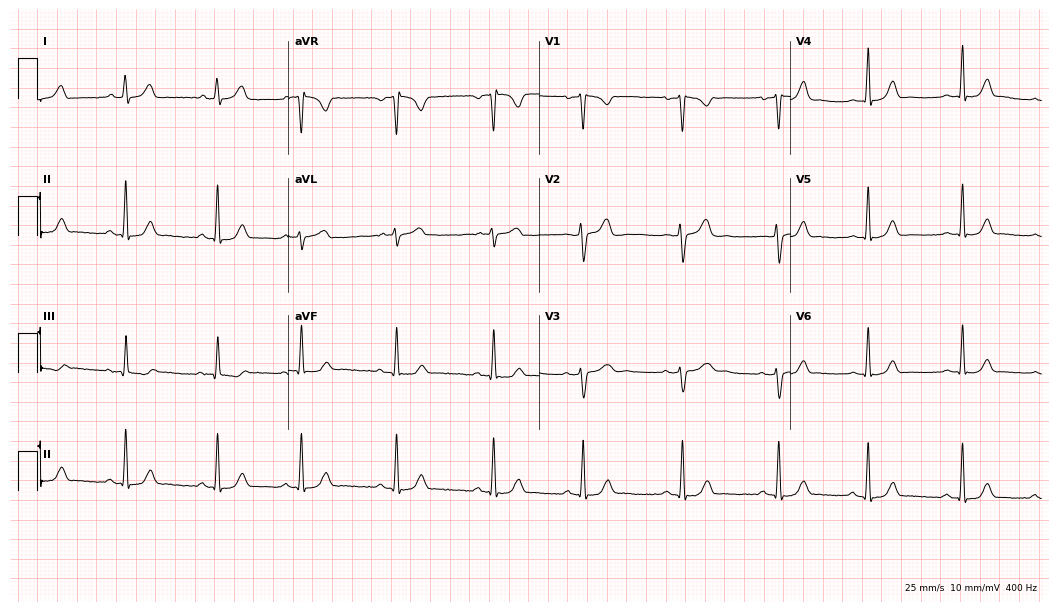
ECG — a 31-year-old female patient. Labelled as a normal ECG.